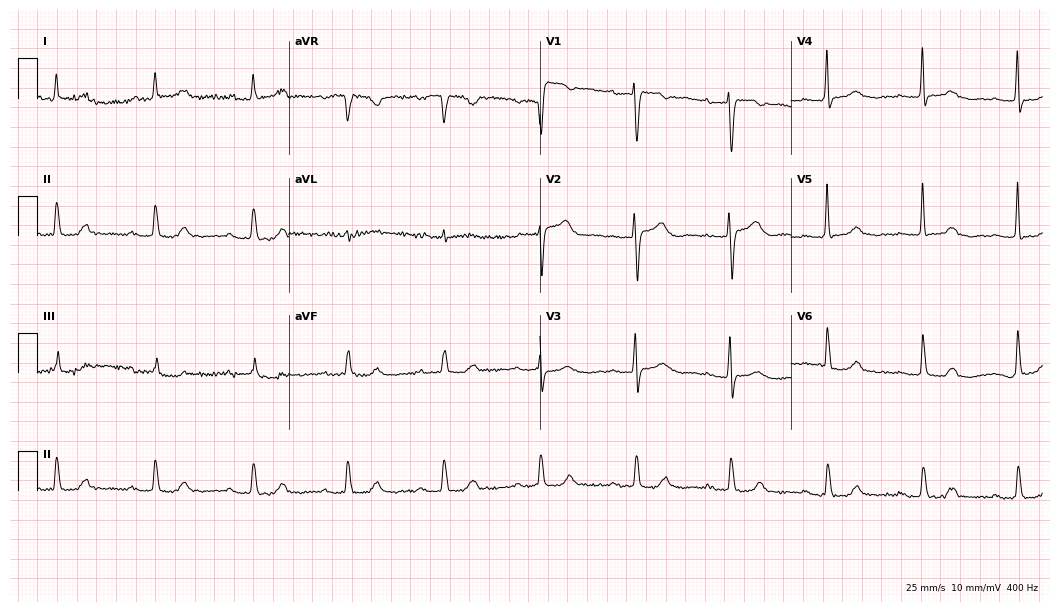
Resting 12-lead electrocardiogram (10.2-second recording at 400 Hz). Patient: a female, 75 years old. The tracing shows first-degree AV block.